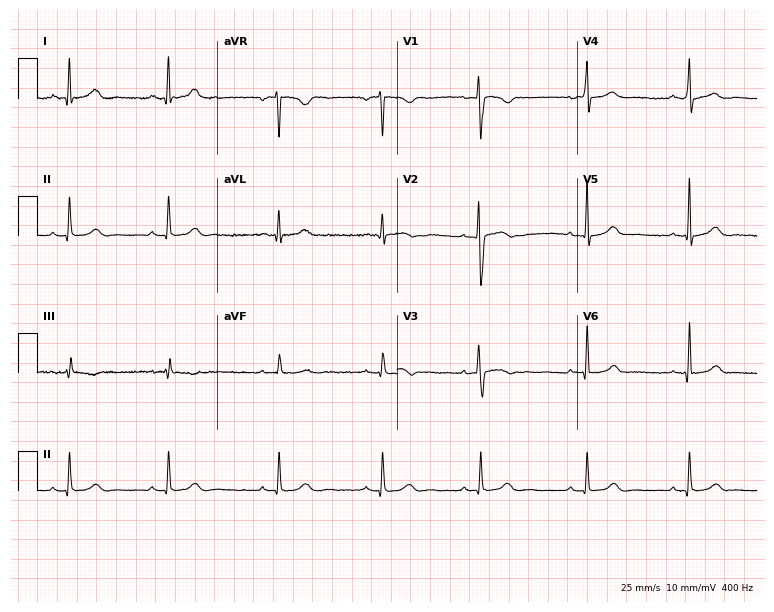
Electrocardiogram (7.3-second recording at 400 Hz), a female, 37 years old. Overall reading on record: normal ECG.